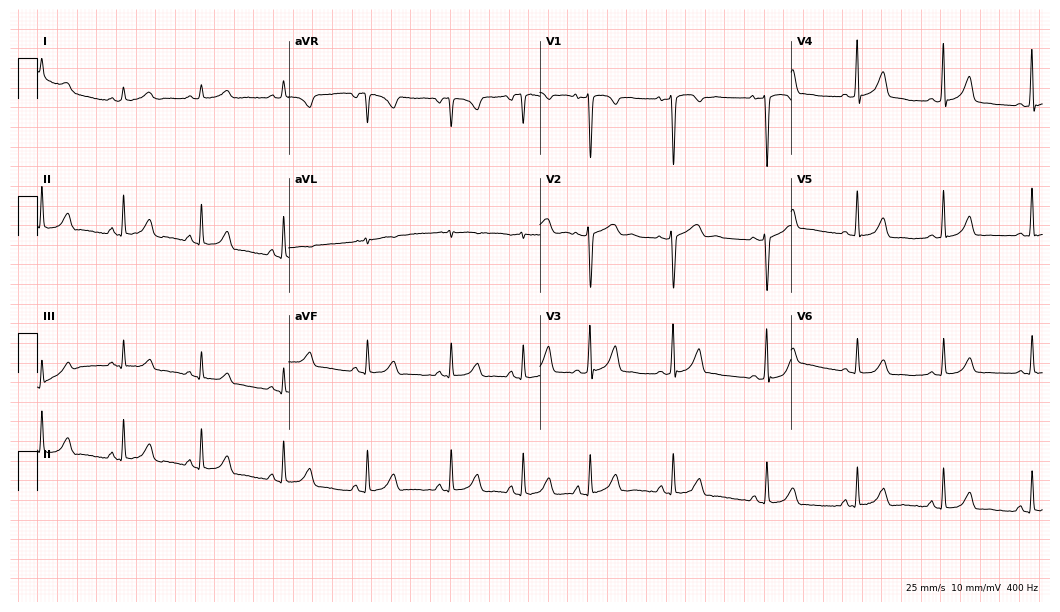
Standard 12-lead ECG recorded from a female patient, 29 years old (10.2-second recording at 400 Hz). None of these six findings is recorded: first-degree AV block, right bundle branch block, left bundle branch block, sinus bradycardia, atrial fibrillation, sinus tachycardia.